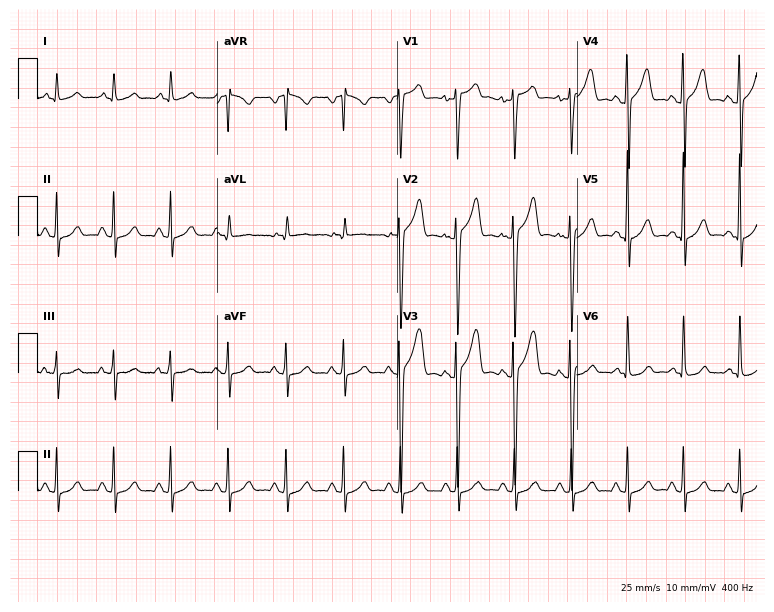
Electrocardiogram, a 41-year-old male. Interpretation includes sinus tachycardia (a sinus rate of 100 beats per minute or more).